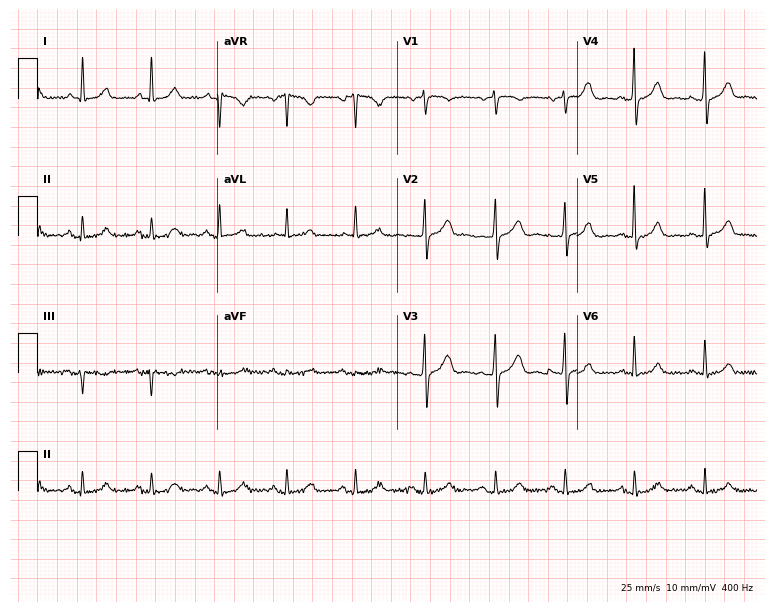
Standard 12-lead ECG recorded from a 72-year-old female. Read as a normal ECG.